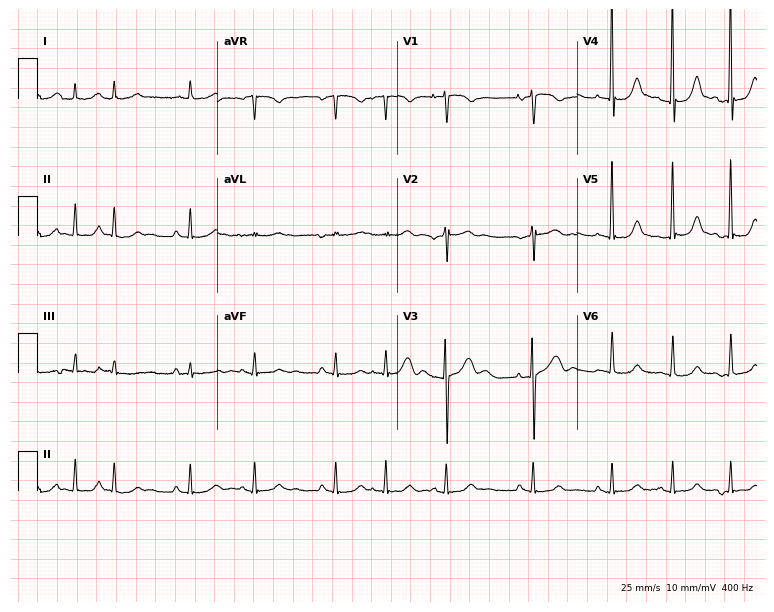
12-lead ECG (7.3-second recording at 400 Hz) from a 79-year-old woman. Screened for six findings — first-degree AV block, right bundle branch block (RBBB), left bundle branch block (LBBB), sinus bradycardia, atrial fibrillation (AF), sinus tachycardia — none is recorded.